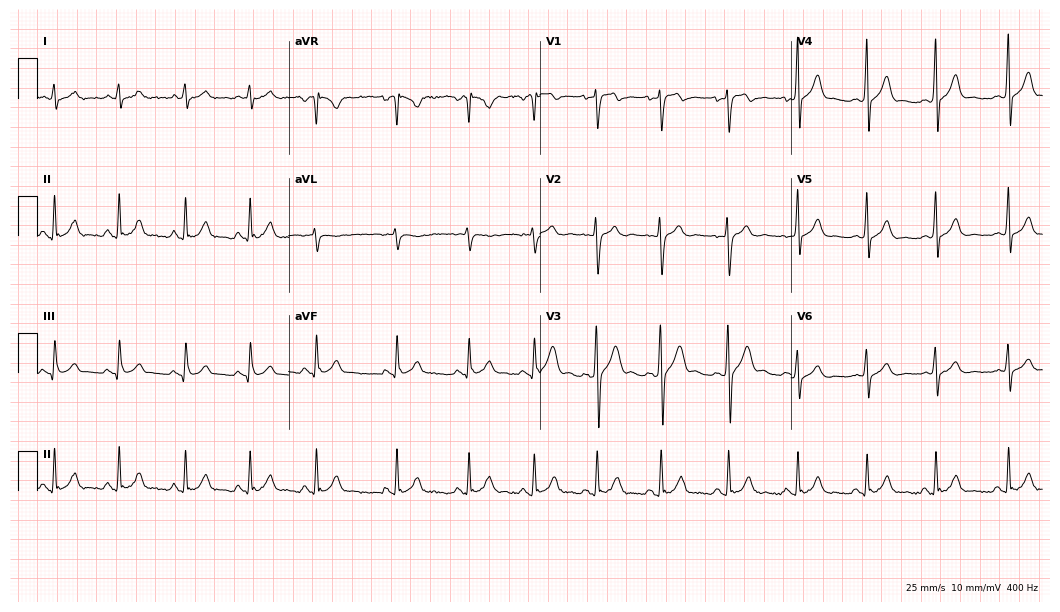
Electrocardiogram, a man, 21 years old. Overall reading on record: normal ECG.